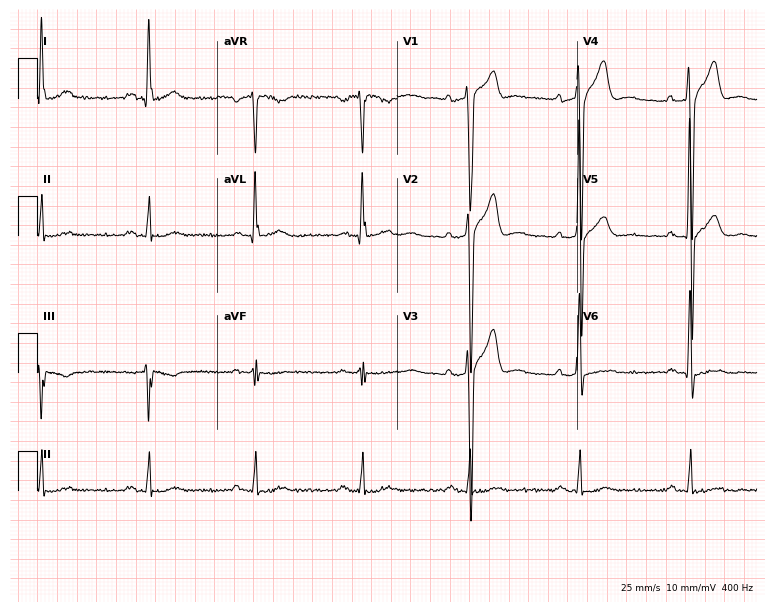
Resting 12-lead electrocardiogram (7.3-second recording at 400 Hz). Patient: a 49-year-old male. None of these six findings is recorded: first-degree AV block, right bundle branch block (RBBB), left bundle branch block (LBBB), sinus bradycardia, atrial fibrillation (AF), sinus tachycardia. Other findings, if any, are not listed.